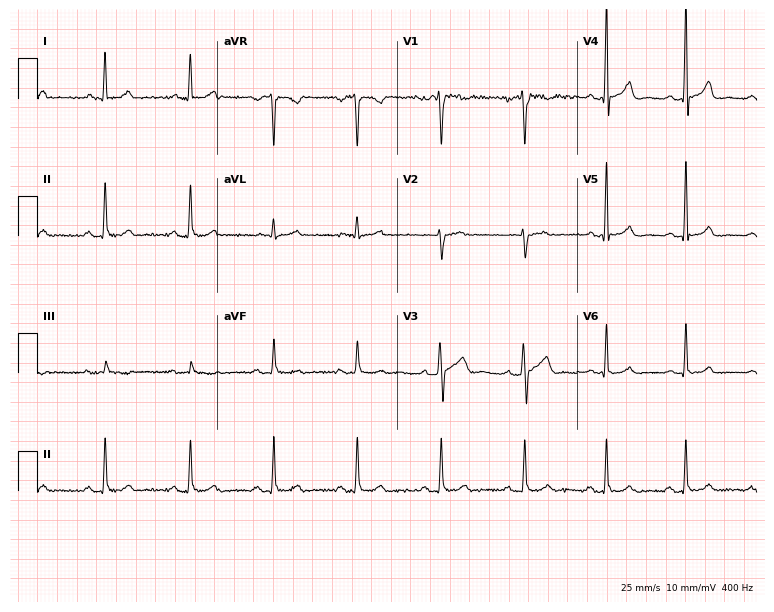
Standard 12-lead ECG recorded from a male, 35 years old (7.3-second recording at 400 Hz). Read as a normal ECG.